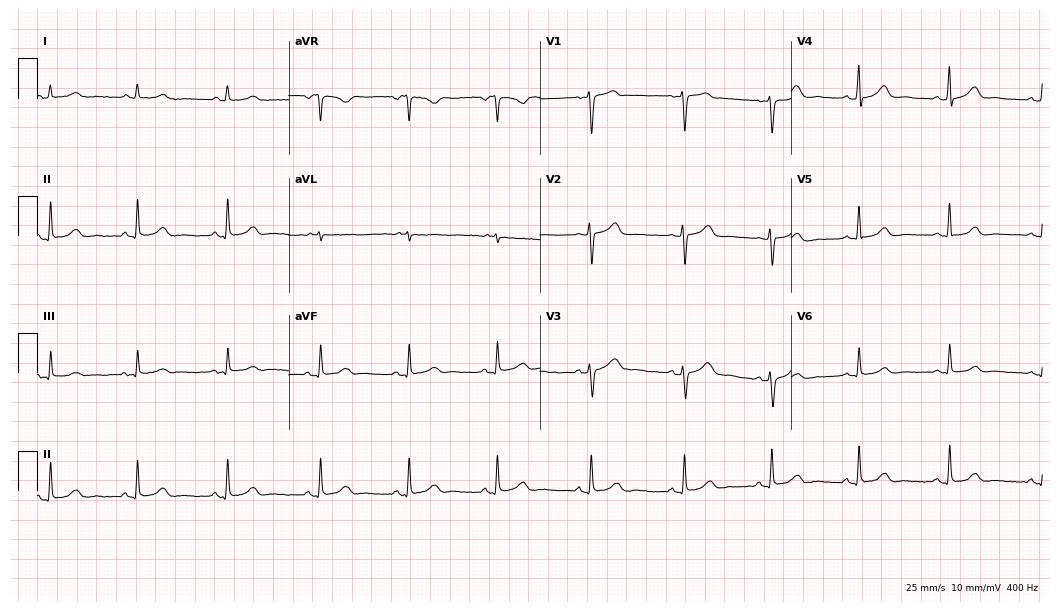
ECG (10.2-second recording at 400 Hz) — a female patient, 37 years old. Screened for six findings — first-degree AV block, right bundle branch block, left bundle branch block, sinus bradycardia, atrial fibrillation, sinus tachycardia — none is recorded.